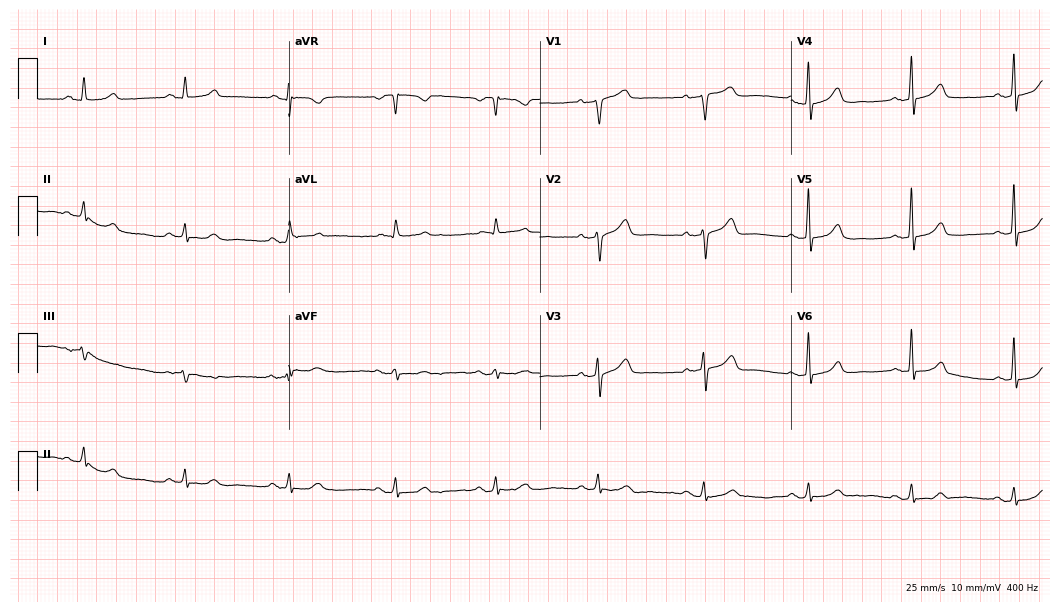
Standard 12-lead ECG recorded from a woman, 68 years old. Read as a normal ECG.